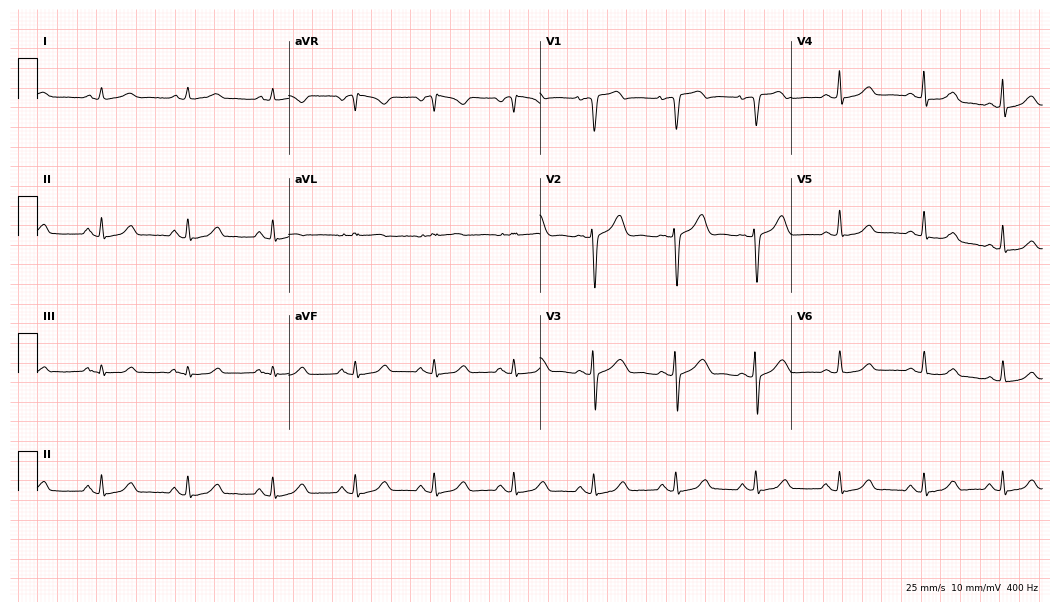
12-lead ECG from a female patient, 47 years old. Labelled as a normal ECG.